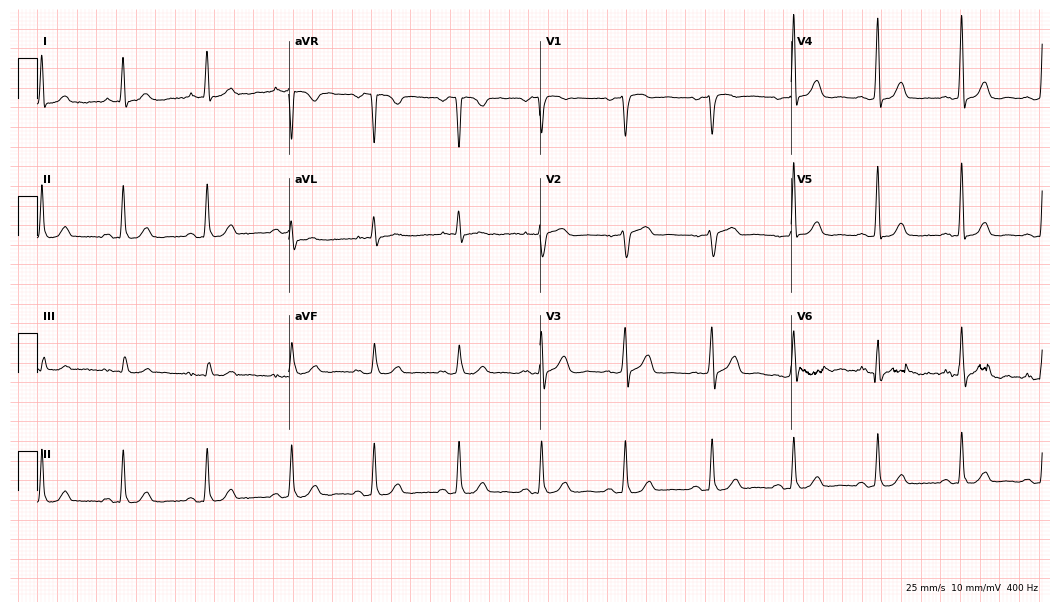
Standard 12-lead ECG recorded from a 49-year-old female patient. Read as a normal ECG.